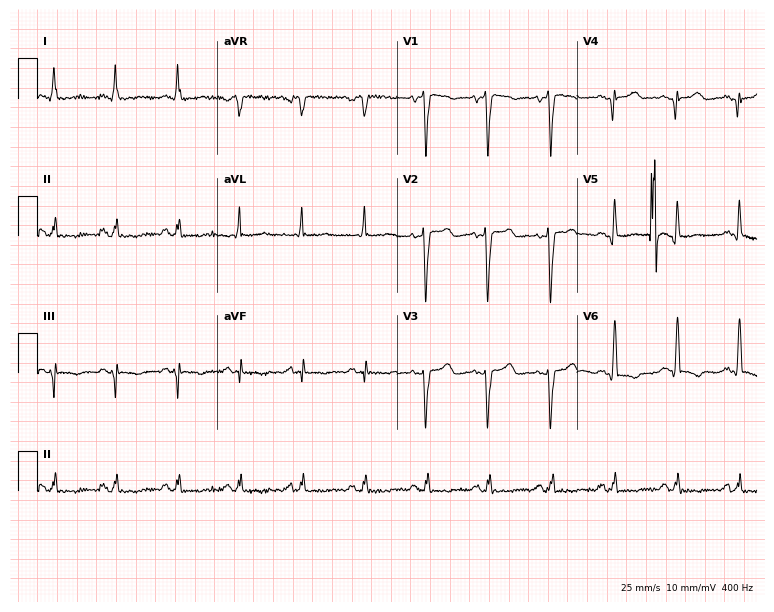
12-lead ECG (7.3-second recording at 400 Hz) from a female patient, 66 years old. Screened for six findings — first-degree AV block, right bundle branch block, left bundle branch block, sinus bradycardia, atrial fibrillation, sinus tachycardia — none is recorded. Findings outside these six are not listed.